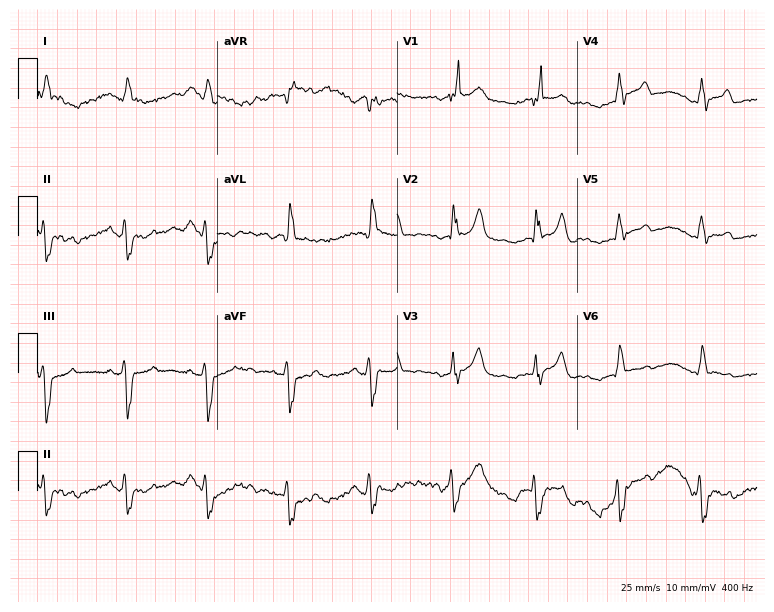
Electrocardiogram, a woman, 80 years old. Of the six screened findings (first-degree AV block, right bundle branch block, left bundle branch block, sinus bradycardia, atrial fibrillation, sinus tachycardia), none is recorded.